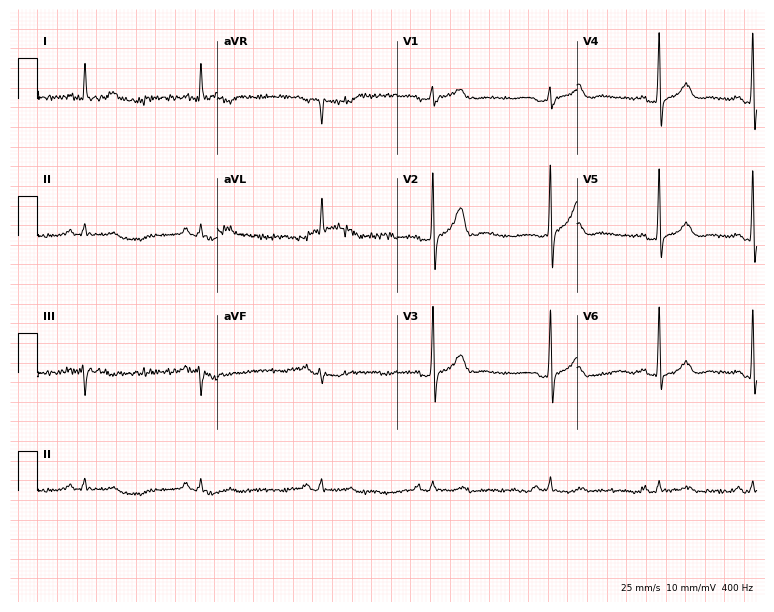
Standard 12-lead ECG recorded from a male patient, 77 years old. None of these six findings is recorded: first-degree AV block, right bundle branch block, left bundle branch block, sinus bradycardia, atrial fibrillation, sinus tachycardia. Only these six findings were labelled.